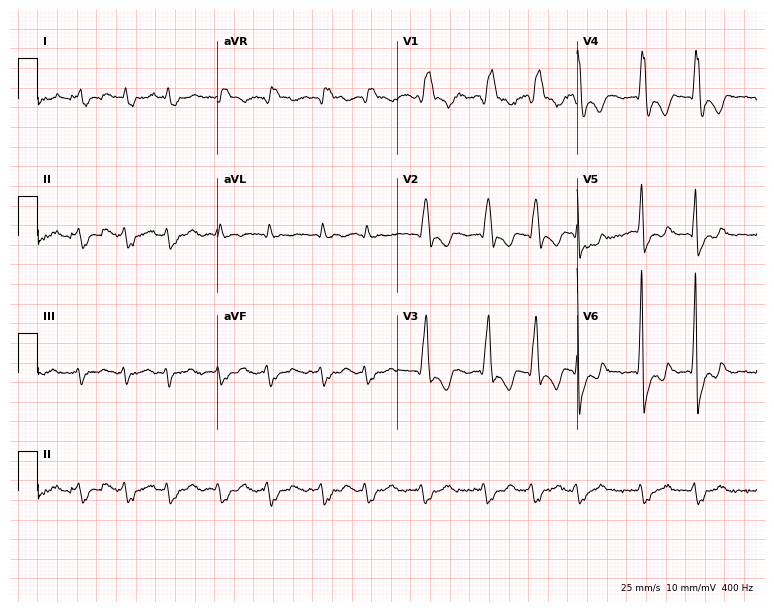
ECG (7.3-second recording at 400 Hz) — a male patient, 81 years old. Findings include right bundle branch block (RBBB), atrial fibrillation (AF).